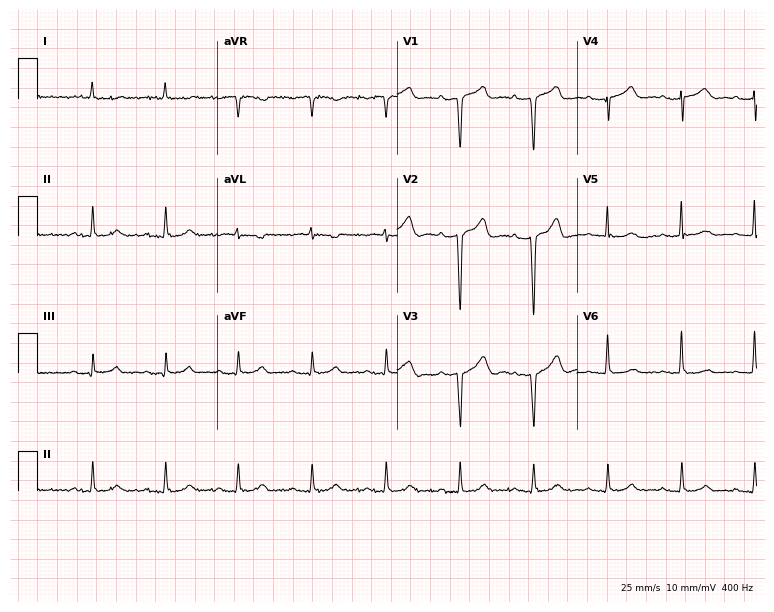
12-lead ECG from a 79-year-old man. Screened for six findings — first-degree AV block, right bundle branch block (RBBB), left bundle branch block (LBBB), sinus bradycardia, atrial fibrillation (AF), sinus tachycardia — none is recorded. Other findings, if any, are not listed.